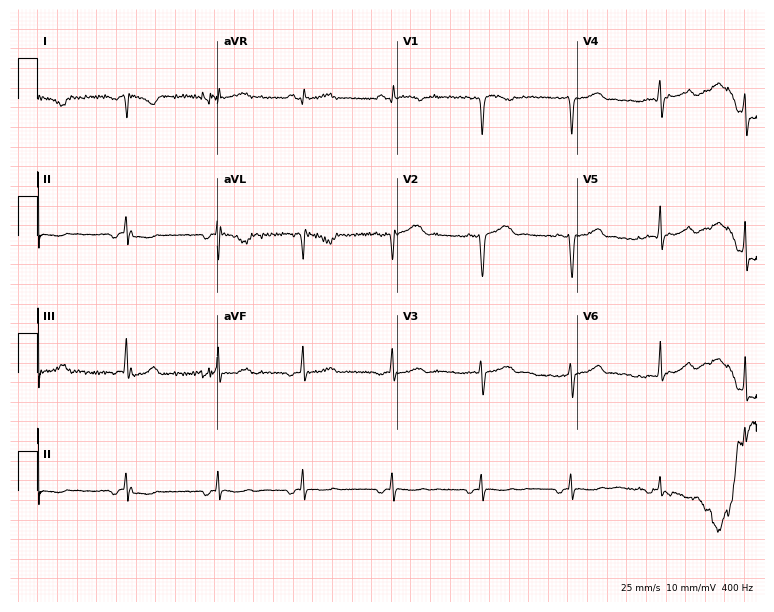
12-lead ECG (7.3-second recording at 400 Hz) from an 18-year-old woman. Screened for six findings — first-degree AV block, right bundle branch block (RBBB), left bundle branch block (LBBB), sinus bradycardia, atrial fibrillation (AF), sinus tachycardia — none is recorded.